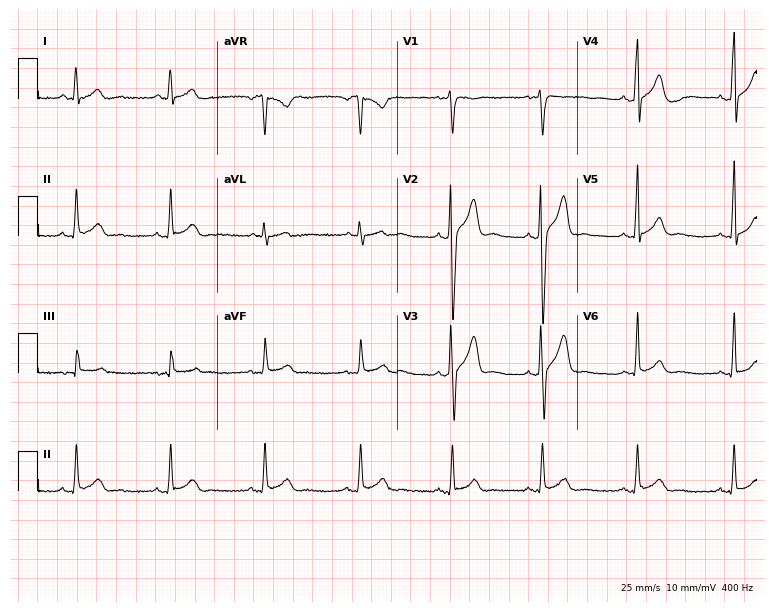
12-lead ECG from a man, 23 years old. Recorded interpretation: within normal limits.